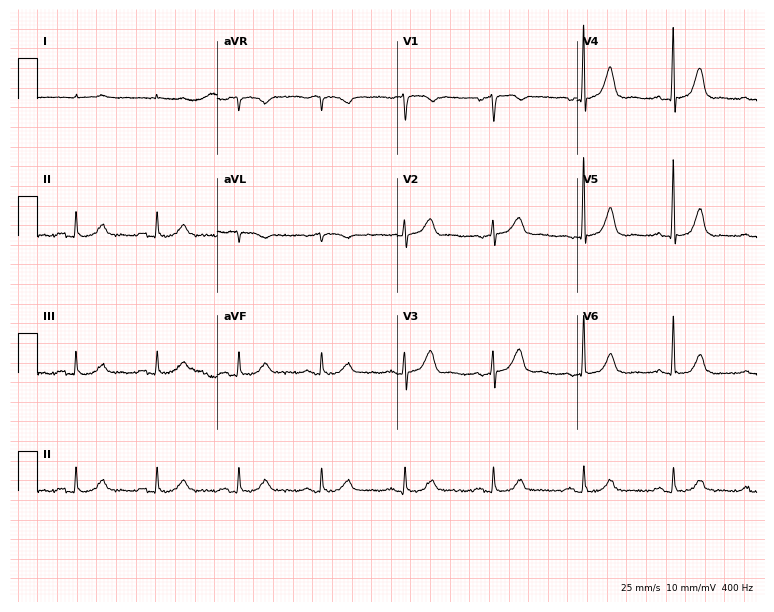
Standard 12-lead ECG recorded from a female patient, 80 years old (7.3-second recording at 400 Hz). None of these six findings is recorded: first-degree AV block, right bundle branch block, left bundle branch block, sinus bradycardia, atrial fibrillation, sinus tachycardia. Findings outside these six are not listed.